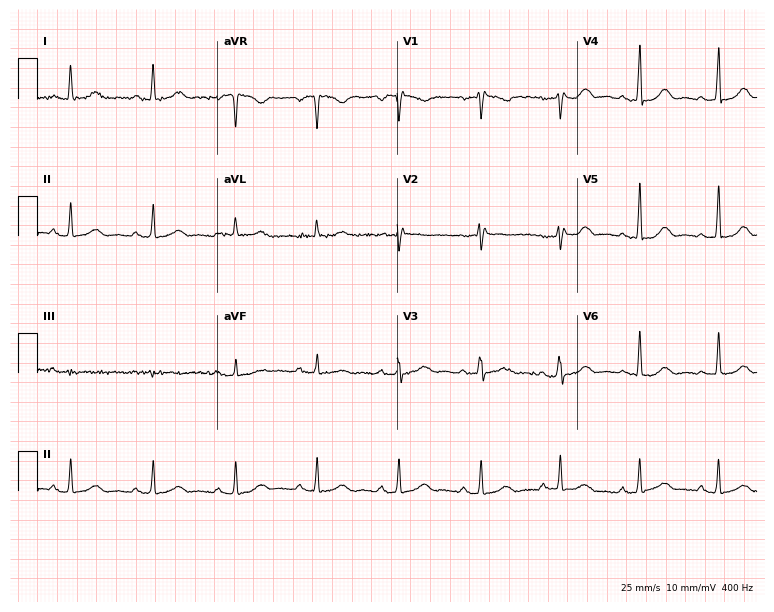
12-lead ECG (7.3-second recording at 400 Hz) from a female, 44 years old. Screened for six findings — first-degree AV block, right bundle branch block, left bundle branch block, sinus bradycardia, atrial fibrillation, sinus tachycardia — none is recorded.